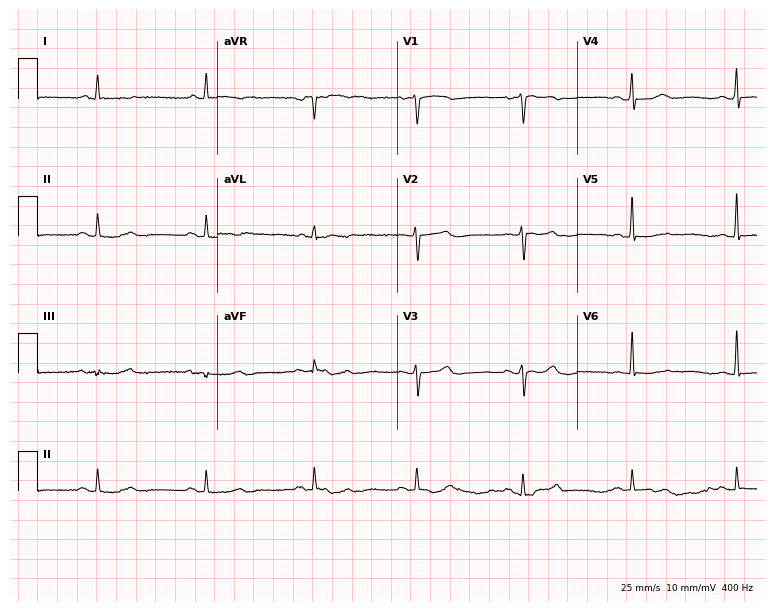
12-lead ECG (7.3-second recording at 400 Hz) from a female patient, 54 years old. Screened for six findings — first-degree AV block, right bundle branch block, left bundle branch block, sinus bradycardia, atrial fibrillation, sinus tachycardia — none is recorded. Other findings, if any, are not listed.